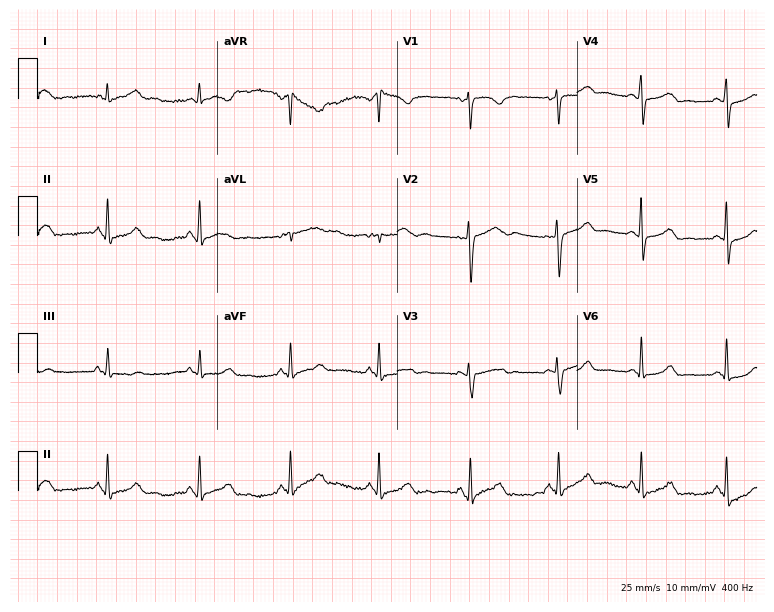
ECG — a 28-year-old woman. Labelled as a normal ECG.